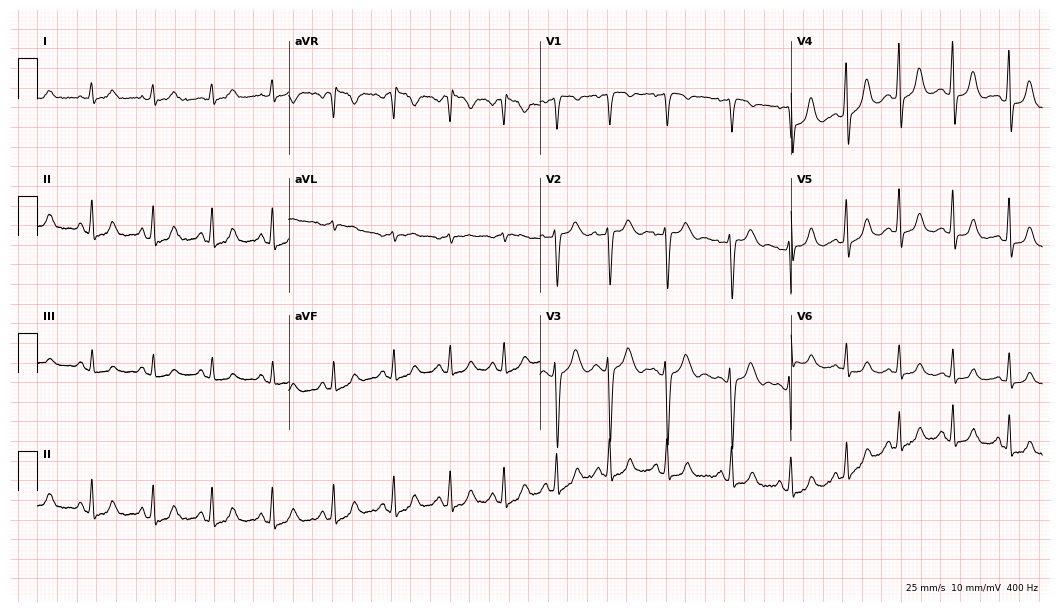
12-lead ECG from a 30-year-old female patient. No first-degree AV block, right bundle branch block, left bundle branch block, sinus bradycardia, atrial fibrillation or sinus tachycardia recorded for this tracing.